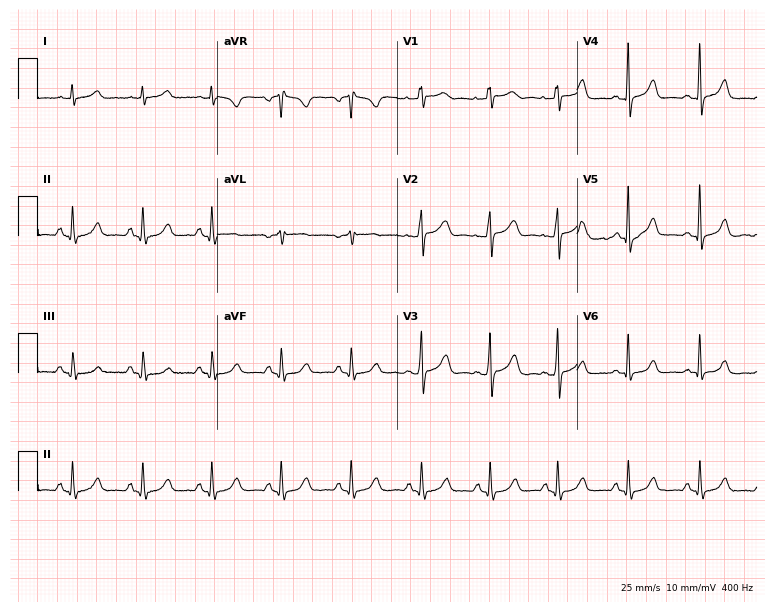
ECG (7.3-second recording at 400 Hz) — a woman, 55 years old. Labelled as a normal ECG.